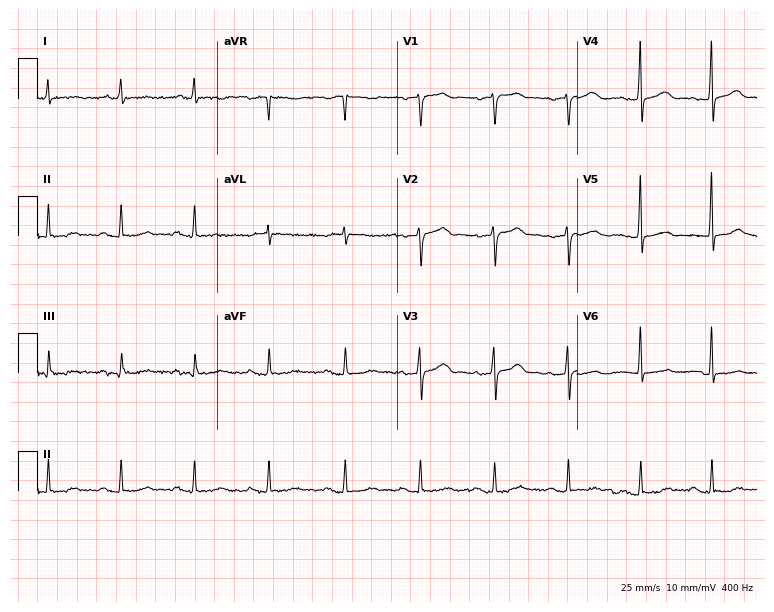
Resting 12-lead electrocardiogram. Patient: a male, 78 years old. Read as a normal ECG.